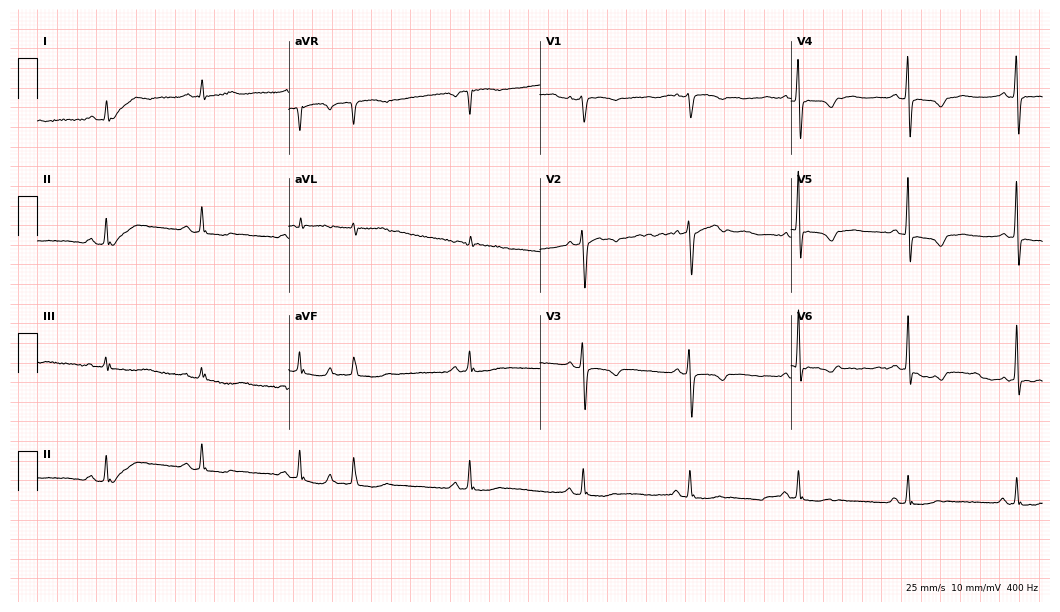
12-lead ECG from a woman, 59 years old (10.2-second recording at 400 Hz). No first-degree AV block, right bundle branch block (RBBB), left bundle branch block (LBBB), sinus bradycardia, atrial fibrillation (AF) or sinus tachycardia recorded for this tracing. Findings outside these six are not listed.